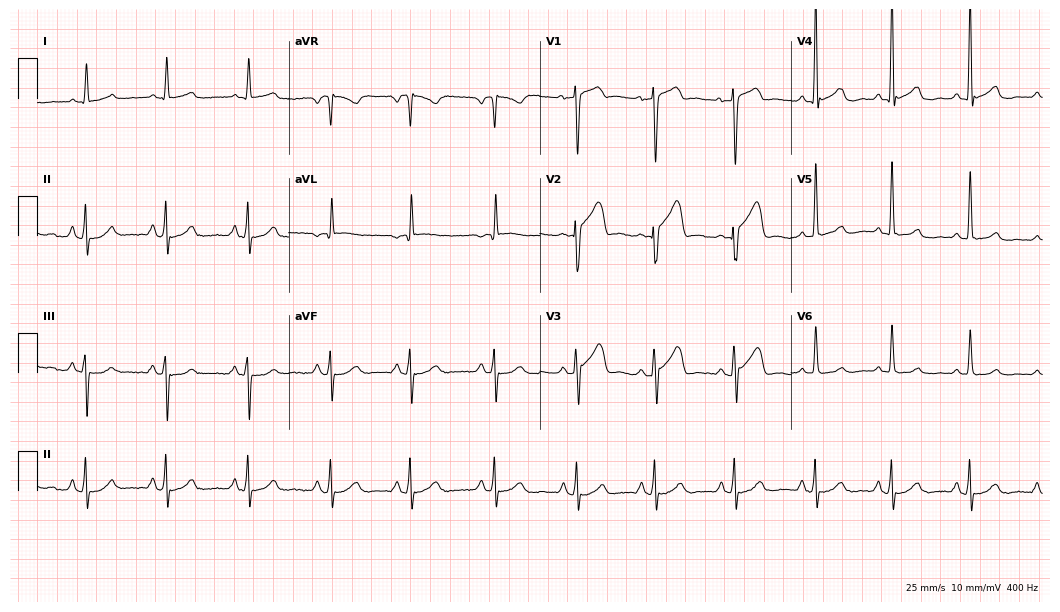
ECG (10.2-second recording at 400 Hz) — a 59-year-old male. Screened for six findings — first-degree AV block, right bundle branch block, left bundle branch block, sinus bradycardia, atrial fibrillation, sinus tachycardia — none is recorded. Findings outside these six are not listed.